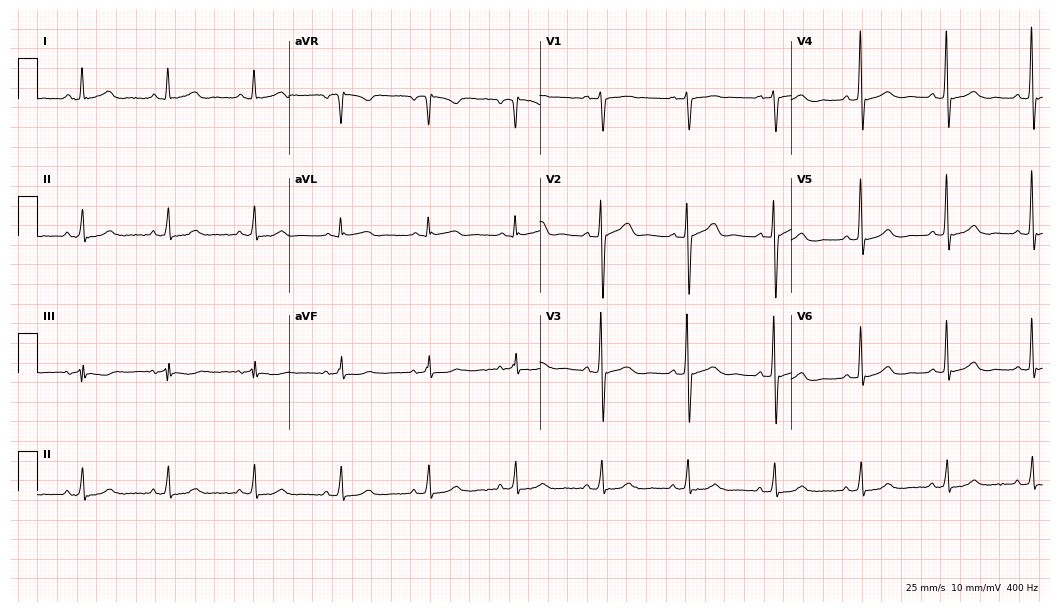
12-lead ECG (10.2-second recording at 400 Hz) from a 47-year-old male patient. Labelled as a normal ECG.